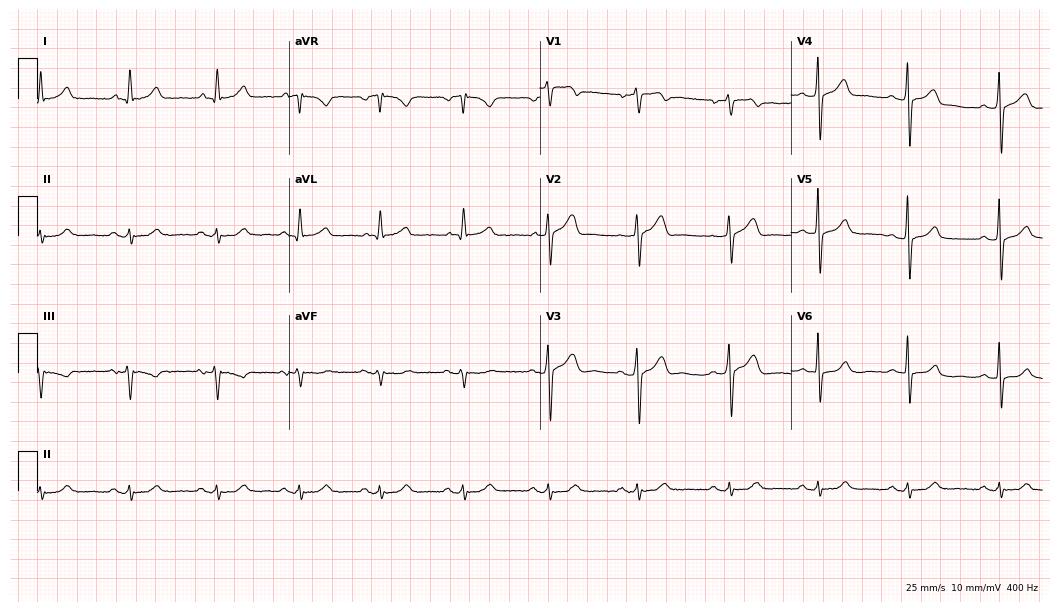
12-lead ECG from a man, 56 years old. Labelled as a normal ECG.